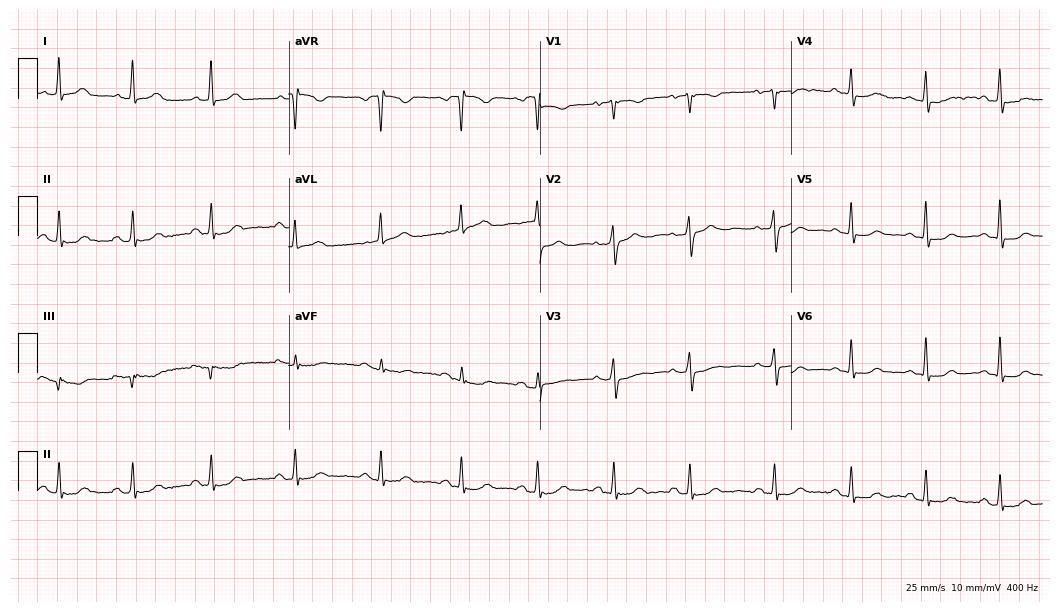
Standard 12-lead ECG recorded from a female, 64 years old. Read as a normal ECG.